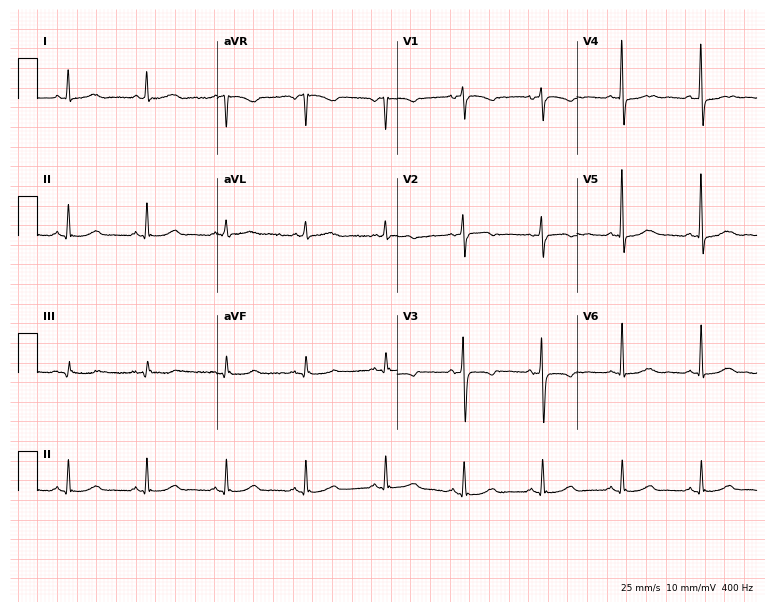
Electrocardiogram (7.3-second recording at 400 Hz), a female patient, 62 years old. Of the six screened findings (first-degree AV block, right bundle branch block, left bundle branch block, sinus bradycardia, atrial fibrillation, sinus tachycardia), none is recorded.